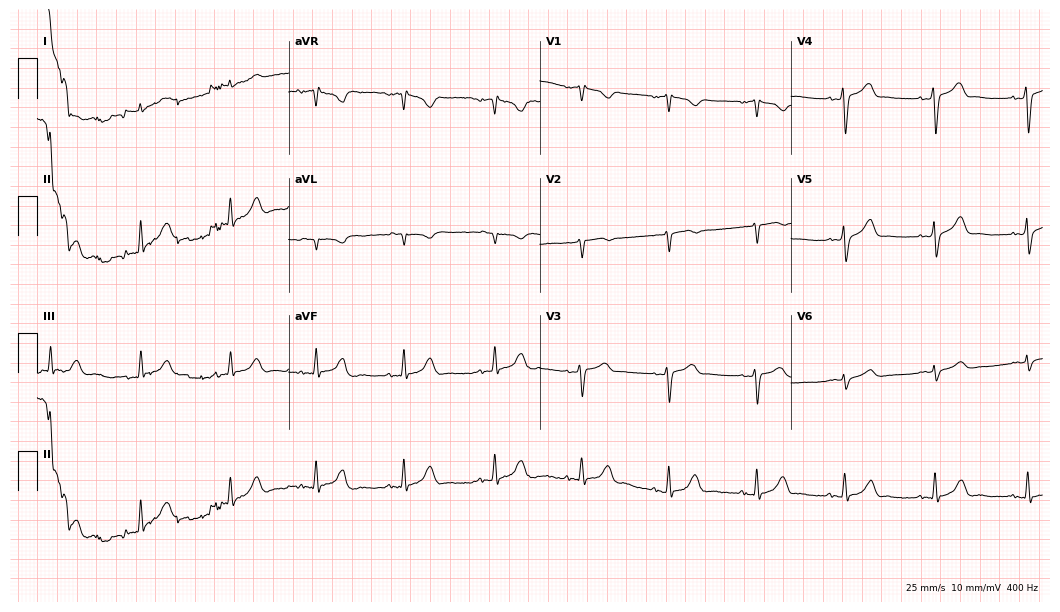
Standard 12-lead ECG recorded from a male, 56 years old. None of these six findings is recorded: first-degree AV block, right bundle branch block, left bundle branch block, sinus bradycardia, atrial fibrillation, sinus tachycardia. Other findings, if any, are not listed.